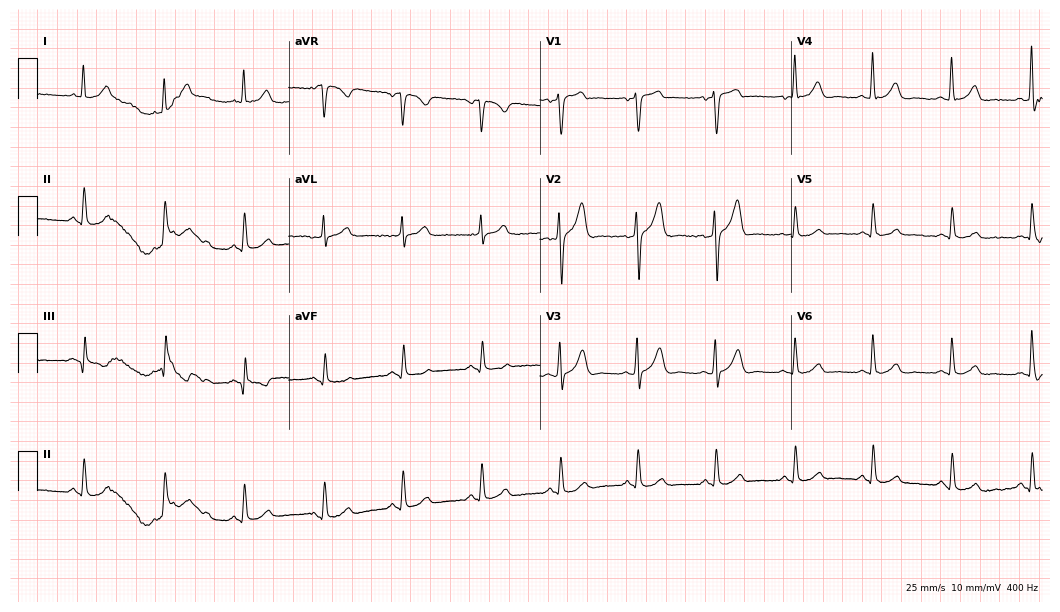
Electrocardiogram, a 55-year-old male. Overall reading on record: normal ECG.